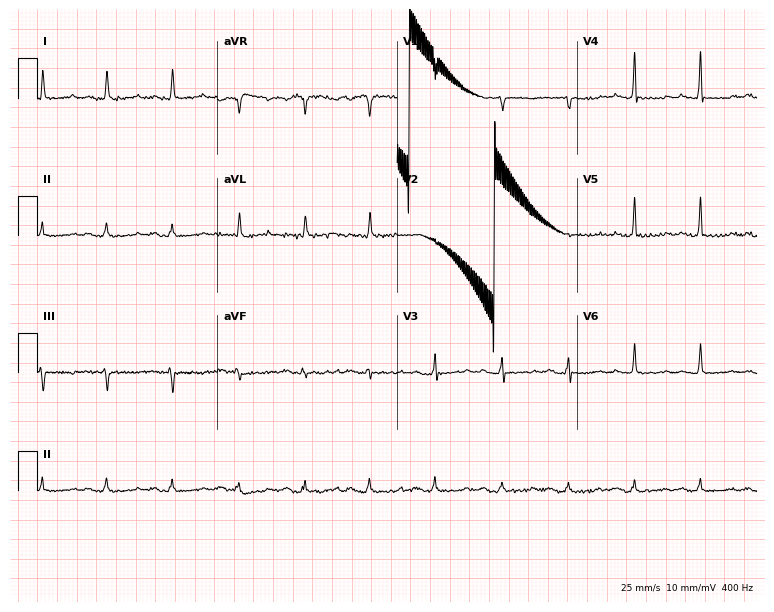
Electrocardiogram (7.3-second recording at 400 Hz), a 58-year-old female patient. Of the six screened findings (first-degree AV block, right bundle branch block, left bundle branch block, sinus bradycardia, atrial fibrillation, sinus tachycardia), none is recorded. Other findings, if any, are not listed.